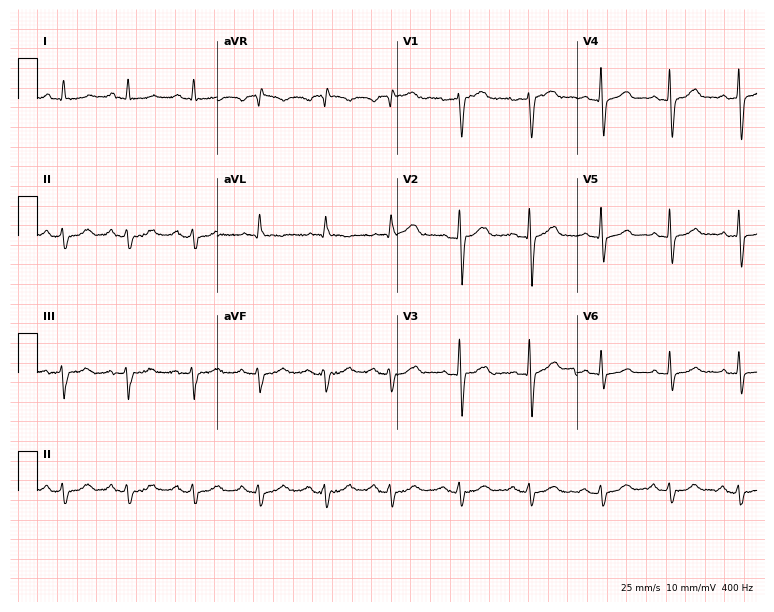
12-lead ECG from a male patient, 79 years old. No first-degree AV block, right bundle branch block, left bundle branch block, sinus bradycardia, atrial fibrillation or sinus tachycardia recorded for this tracing.